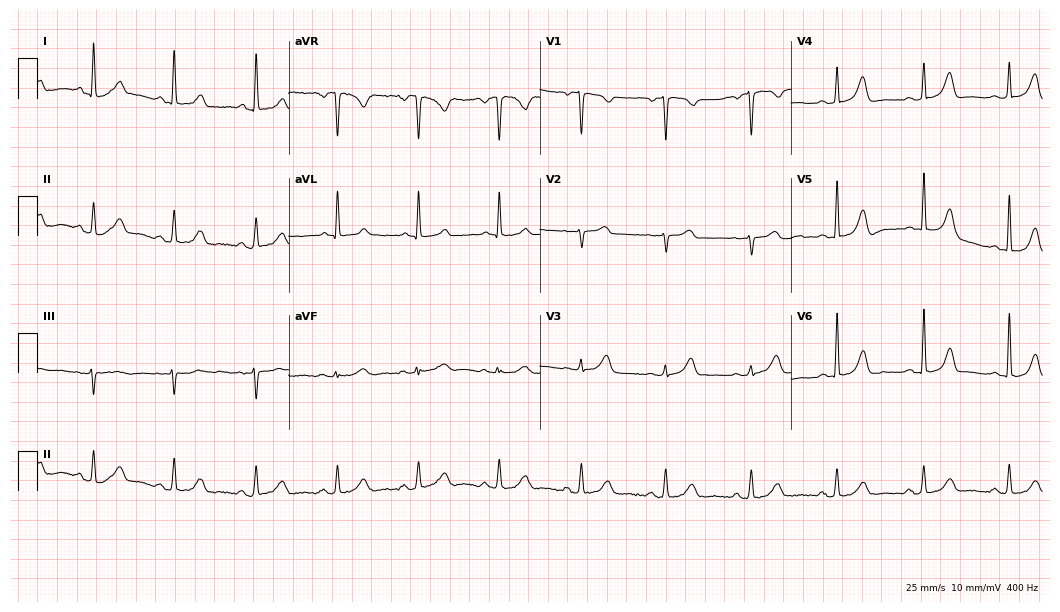
Standard 12-lead ECG recorded from a 58-year-old woman (10.2-second recording at 400 Hz). None of these six findings is recorded: first-degree AV block, right bundle branch block (RBBB), left bundle branch block (LBBB), sinus bradycardia, atrial fibrillation (AF), sinus tachycardia. Other findings, if any, are not listed.